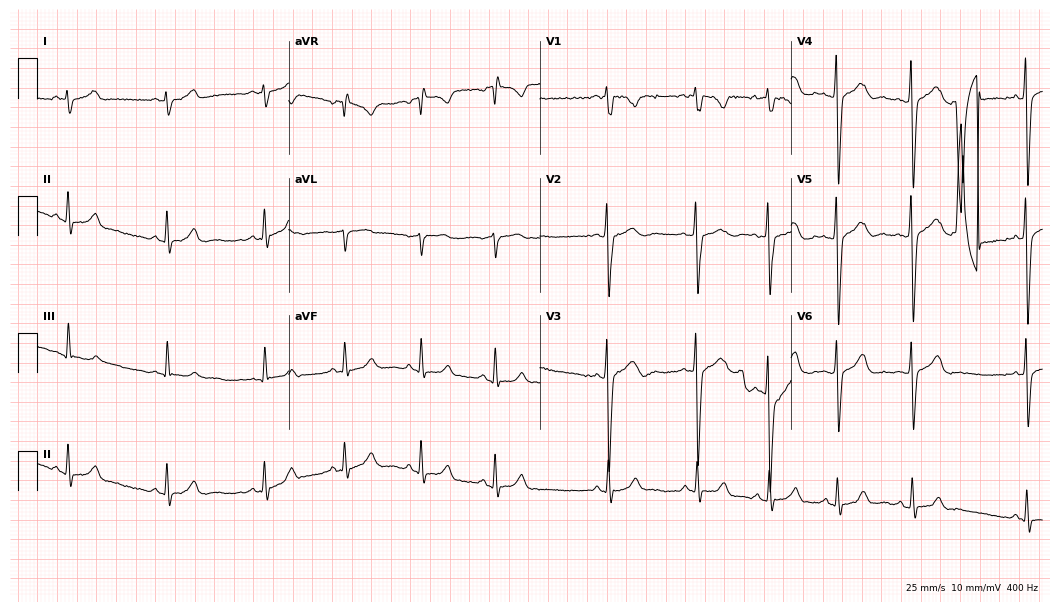
Standard 12-lead ECG recorded from a 17-year-old man. None of these six findings is recorded: first-degree AV block, right bundle branch block (RBBB), left bundle branch block (LBBB), sinus bradycardia, atrial fibrillation (AF), sinus tachycardia. Only these six findings were labelled.